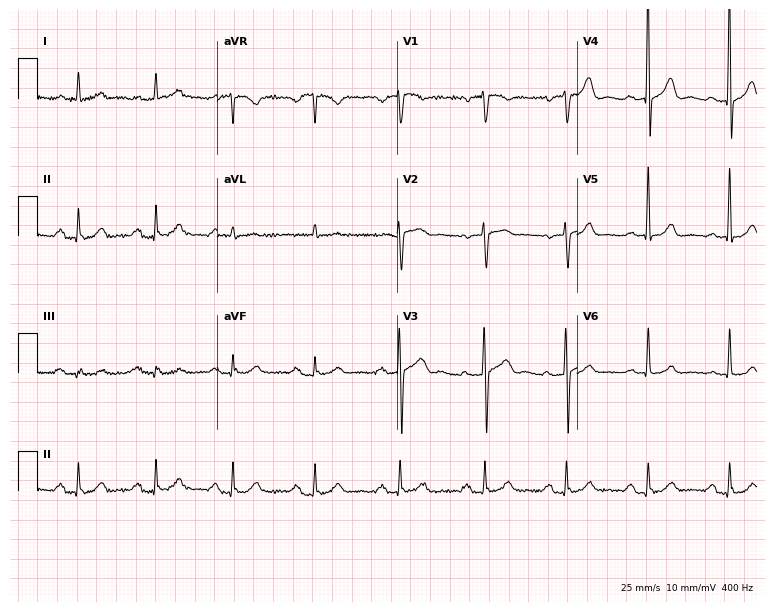
Electrocardiogram (7.3-second recording at 400 Hz), a man, 76 years old. Of the six screened findings (first-degree AV block, right bundle branch block, left bundle branch block, sinus bradycardia, atrial fibrillation, sinus tachycardia), none is recorded. Findings outside these six are not listed.